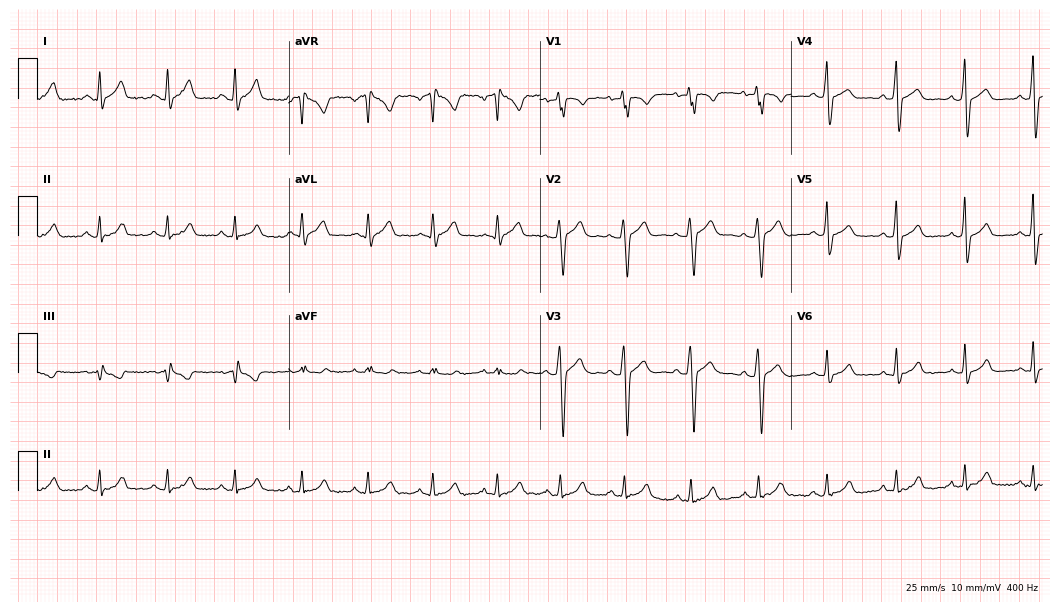
Resting 12-lead electrocardiogram (10.2-second recording at 400 Hz). Patient: a 21-year-old male. None of these six findings is recorded: first-degree AV block, right bundle branch block, left bundle branch block, sinus bradycardia, atrial fibrillation, sinus tachycardia.